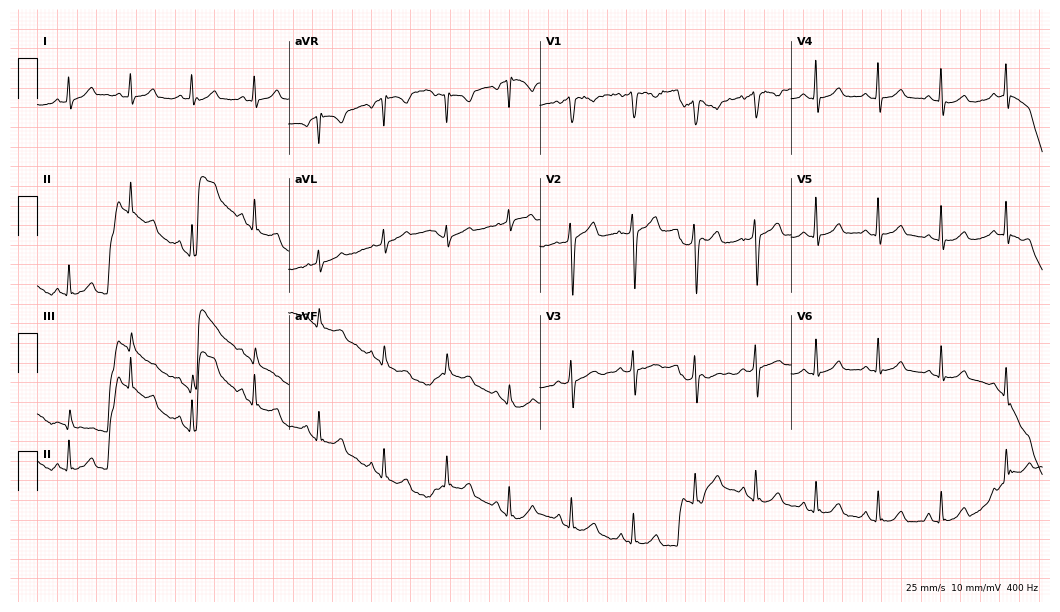
Standard 12-lead ECG recorded from a 48-year-old female patient. None of these six findings is recorded: first-degree AV block, right bundle branch block, left bundle branch block, sinus bradycardia, atrial fibrillation, sinus tachycardia.